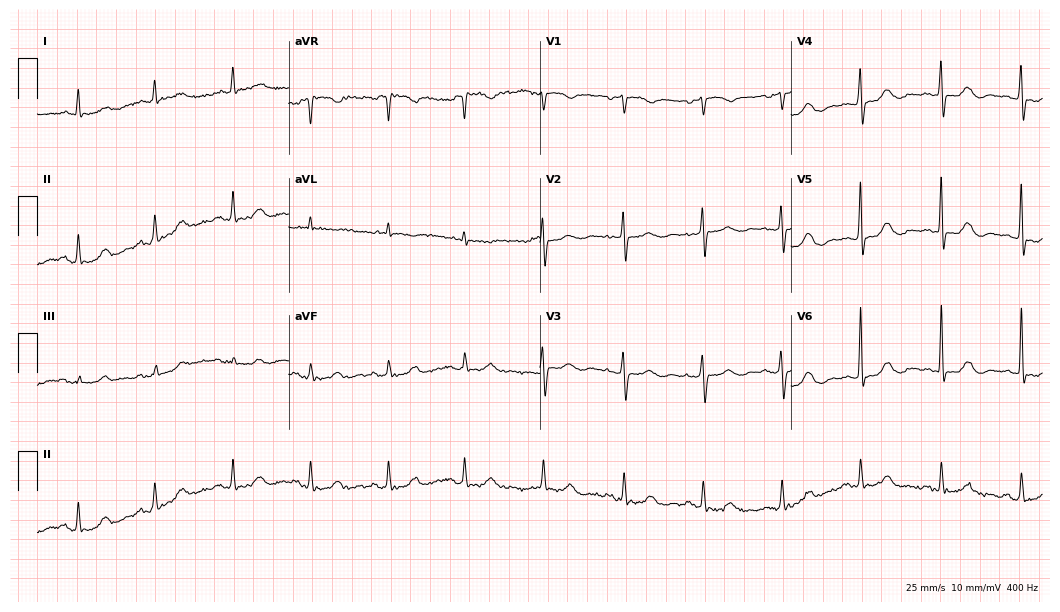
ECG (10.2-second recording at 400 Hz) — a female patient, 85 years old. Labelled as a normal ECG.